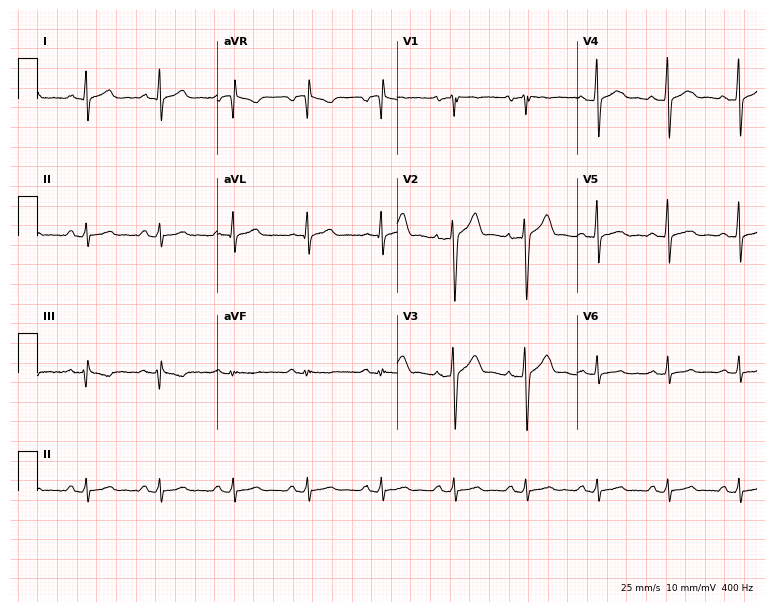
Standard 12-lead ECG recorded from a 38-year-old man (7.3-second recording at 400 Hz). Read as a normal ECG.